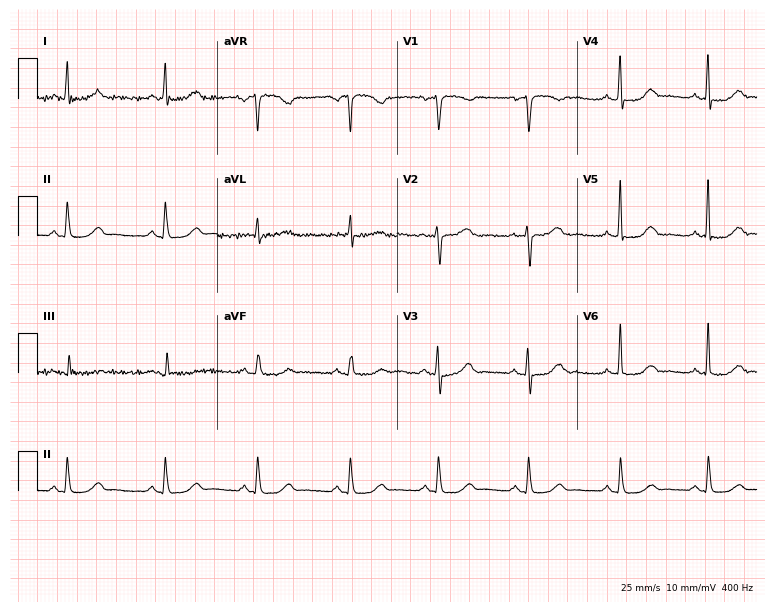
12-lead ECG from a 42-year-old woman (7.3-second recording at 400 Hz). Recorded interpretation: within normal limits.